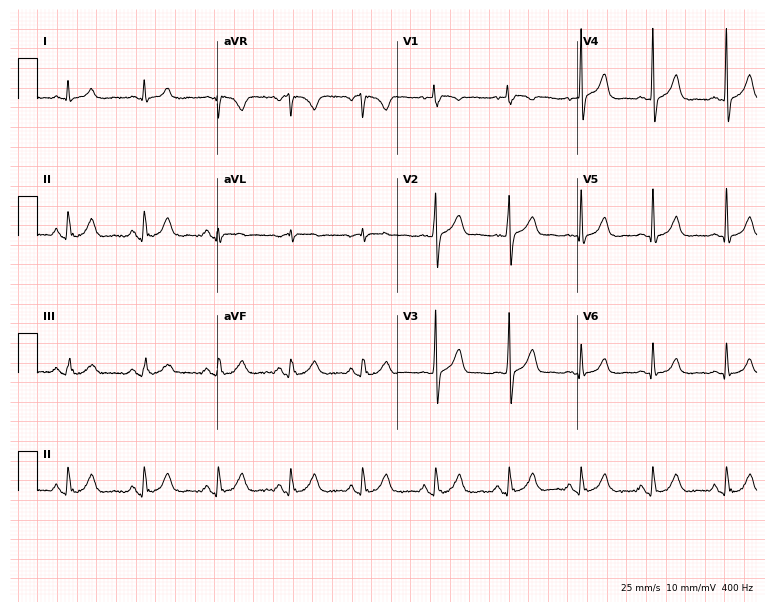
ECG — a 54-year-old man. Labelled as a normal ECG.